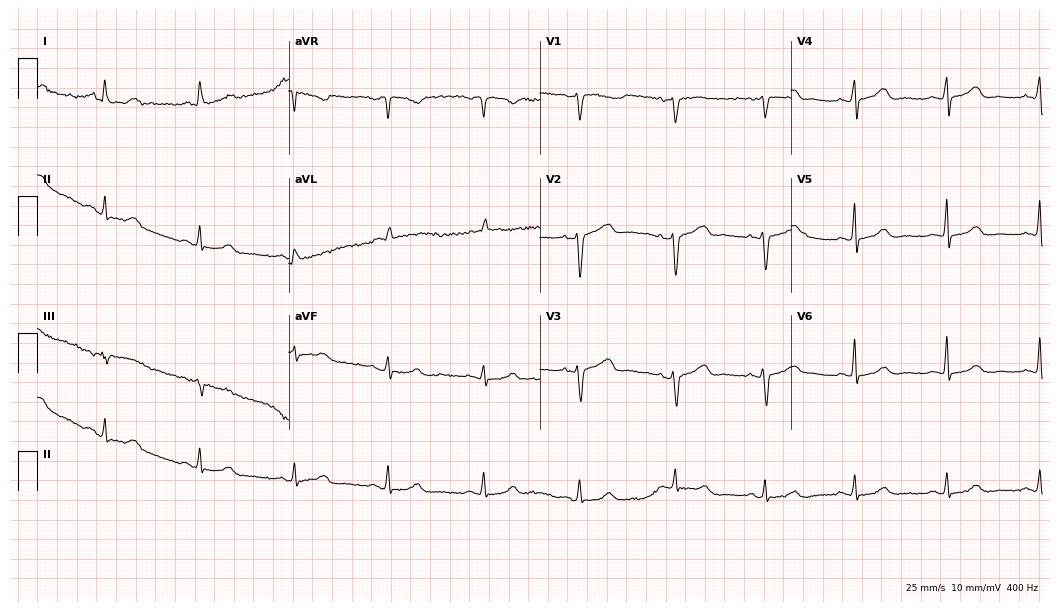
12-lead ECG (10.2-second recording at 400 Hz) from a female patient, 57 years old. Screened for six findings — first-degree AV block, right bundle branch block, left bundle branch block, sinus bradycardia, atrial fibrillation, sinus tachycardia — none is recorded.